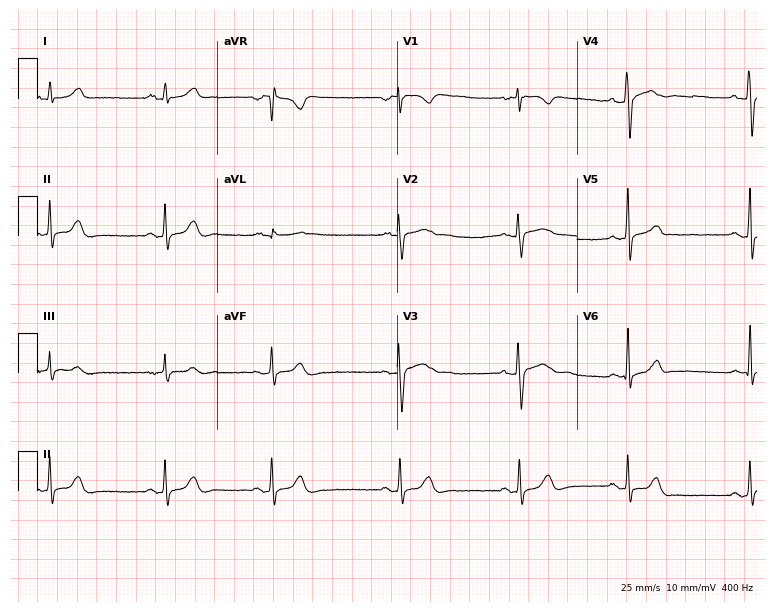
12-lead ECG from a 26-year-old female (7.3-second recording at 400 Hz). Recorded interpretation: within normal limits.